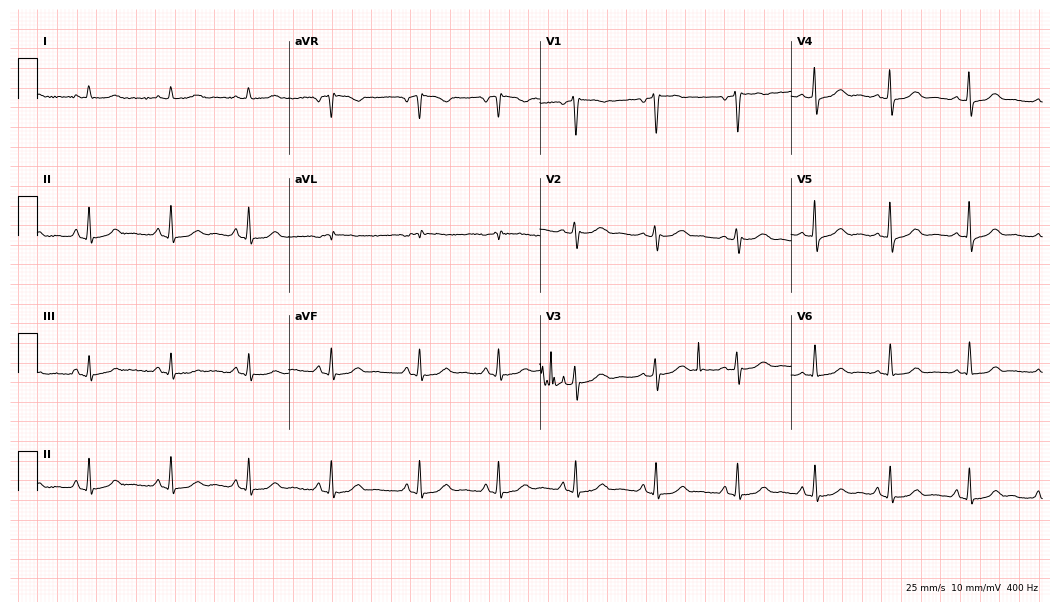
Electrocardiogram, a 42-year-old female. Overall reading on record: normal ECG.